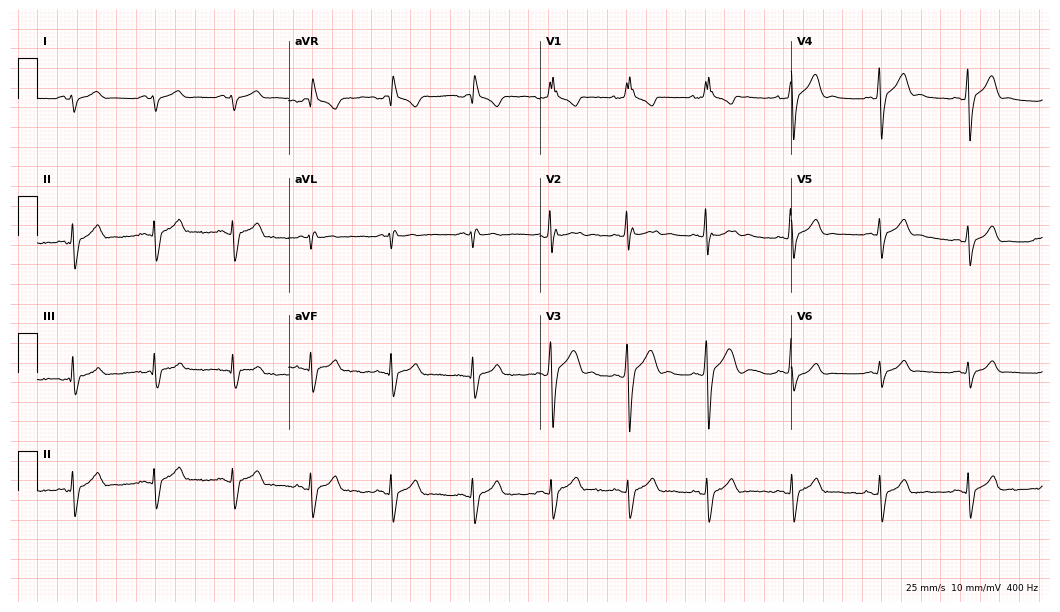
12-lead ECG (10.2-second recording at 400 Hz) from a man, 20 years old. Findings include right bundle branch block (RBBB).